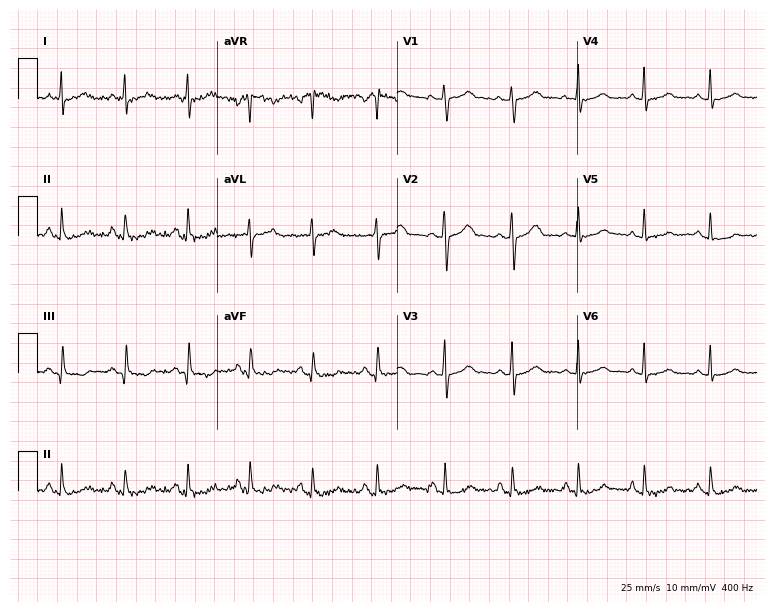
12-lead ECG from a female patient, 47 years old. Screened for six findings — first-degree AV block, right bundle branch block, left bundle branch block, sinus bradycardia, atrial fibrillation, sinus tachycardia — none is recorded. Only these six findings were labelled.